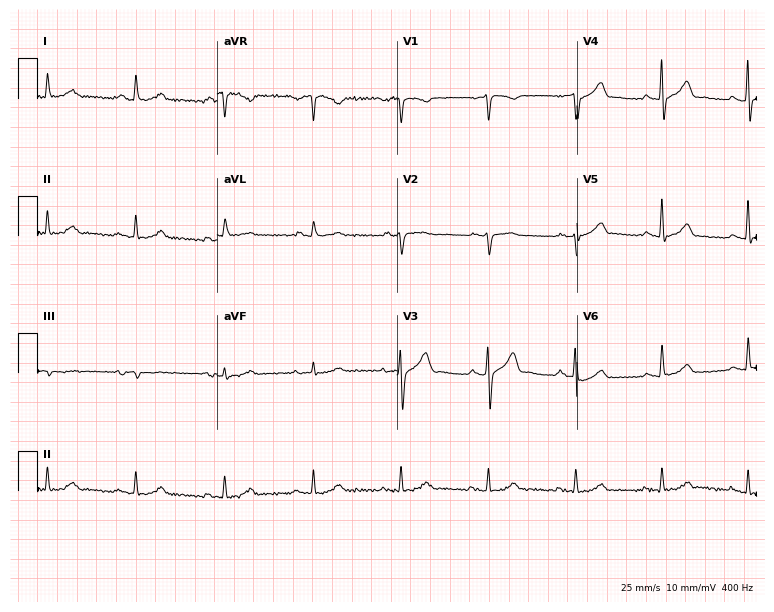
ECG (7.3-second recording at 400 Hz) — a 72-year-old male. Screened for six findings — first-degree AV block, right bundle branch block, left bundle branch block, sinus bradycardia, atrial fibrillation, sinus tachycardia — none is recorded. Only these six findings were labelled.